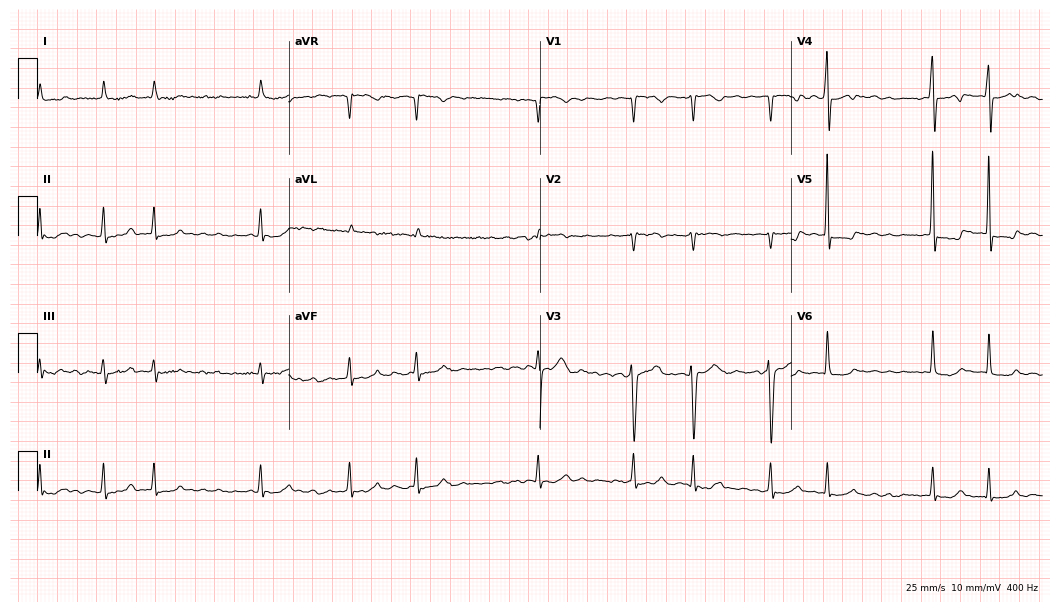
12-lead ECG from a woman, 63 years old (10.2-second recording at 400 Hz). Shows atrial fibrillation.